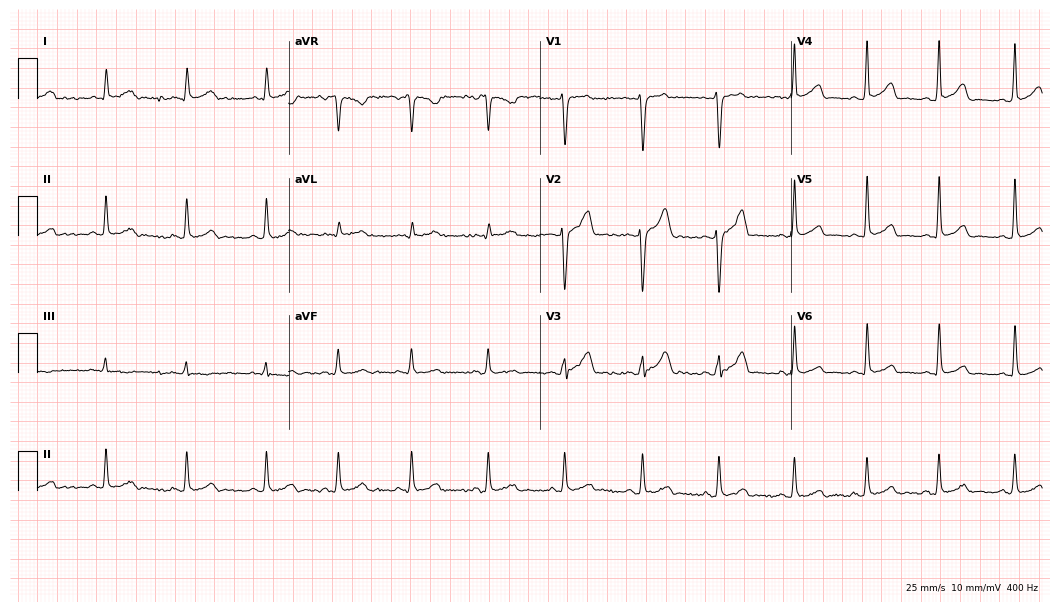
ECG — a 33-year-old male. Labelled as a normal ECG.